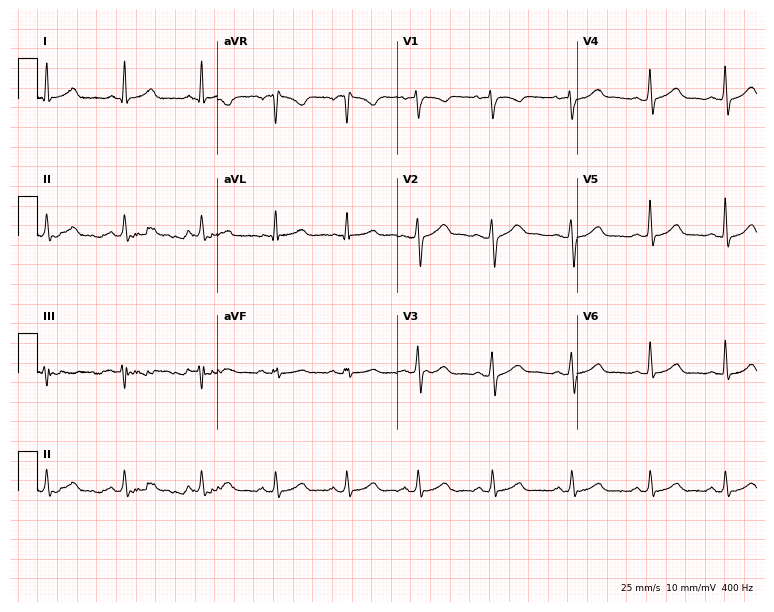
12-lead ECG from a female patient, 32 years old (7.3-second recording at 400 Hz). No first-degree AV block, right bundle branch block, left bundle branch block, sinus bradycardia, atrial fibrillation or sinus tachycardia recorded for this tracing. Only these six findings were labelled.